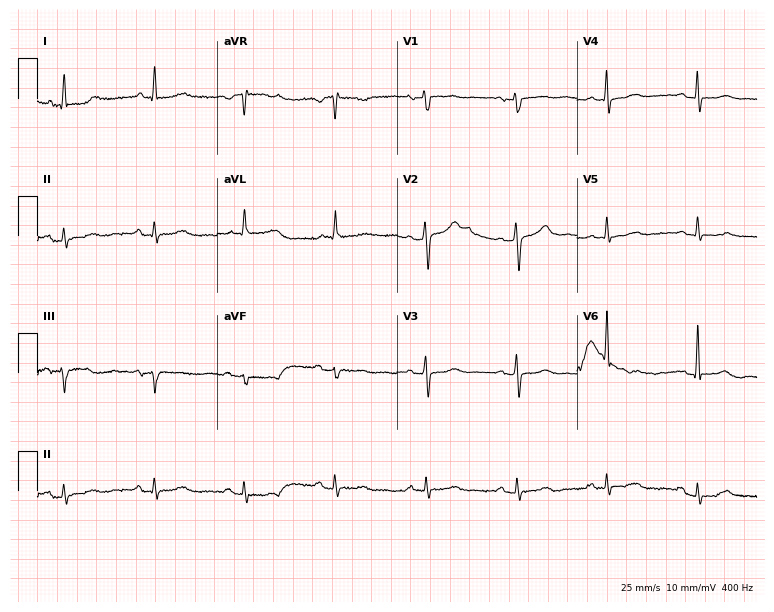
Electrocardiogram, an 81-year-old female. Of the six screened findings (first-degree AV block, right bundle branch block, left bundle branch block, sinus bradycardia, atrial fibrillation, sinus tachycardia), none is recorded.